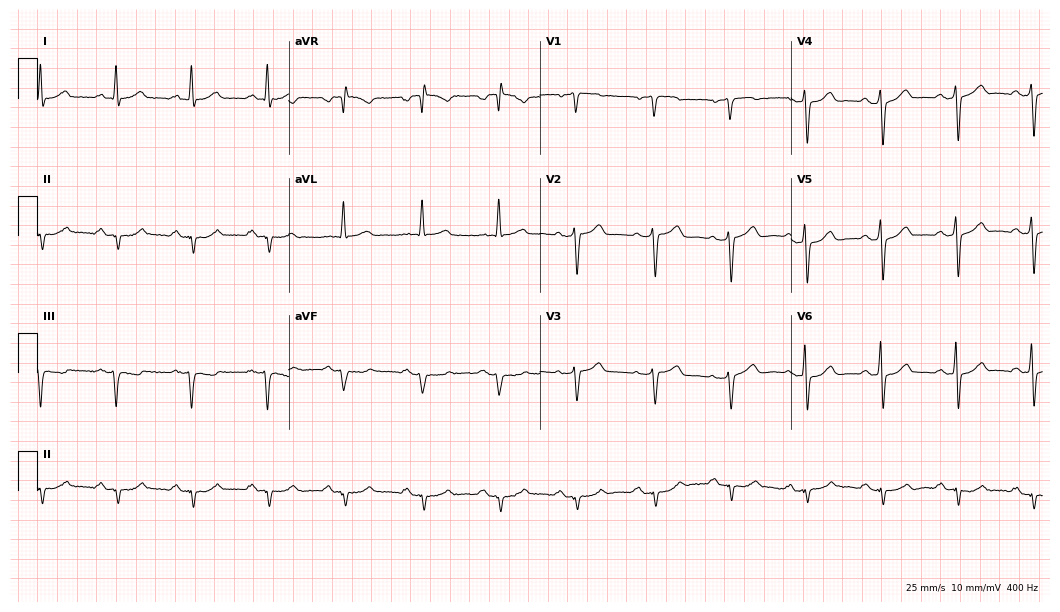
12-lead ECG from a 63-year-old man (10.2-second recording at 400 Hz). No first-degree AV block, right bundle branch block (RBBB), left bundle branch block (LBBB), sinus bradycardia, atrial fibrillation (AF) or sinus tachycardia recorded for this tracing. Findings outside these six are not listed.